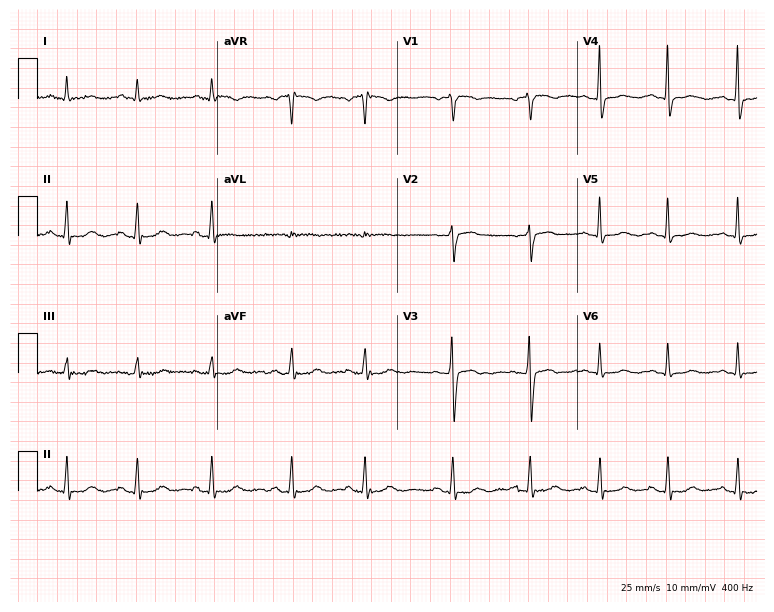
Resting 12-lead electrocardiogram. Patient: a 67-year-old female. Read as a normal ECG.